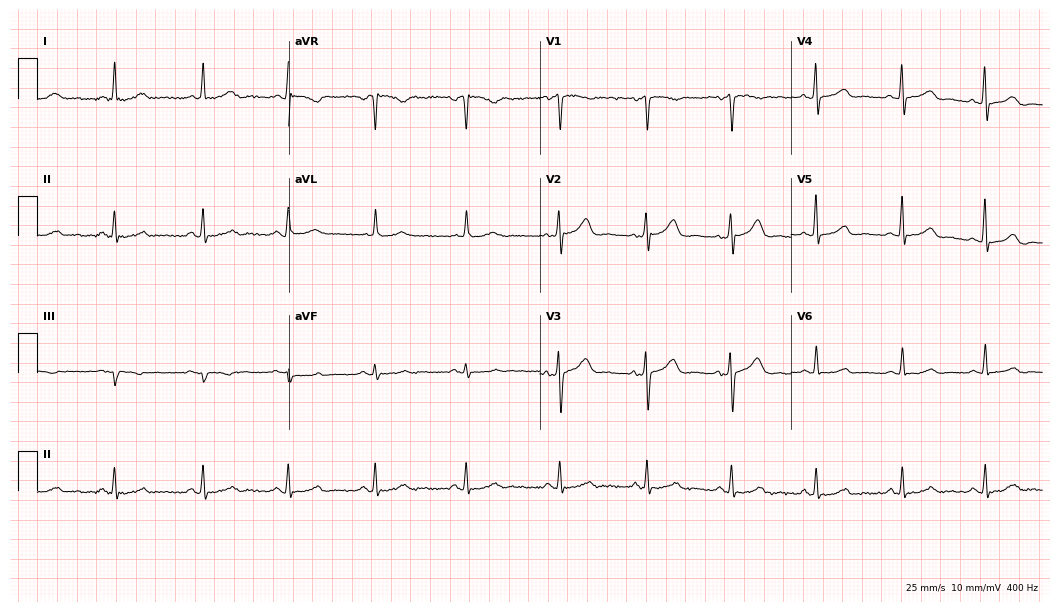
12-lead ECG from a female patient, 50 years old. Recorded interpretation: within normal limits.